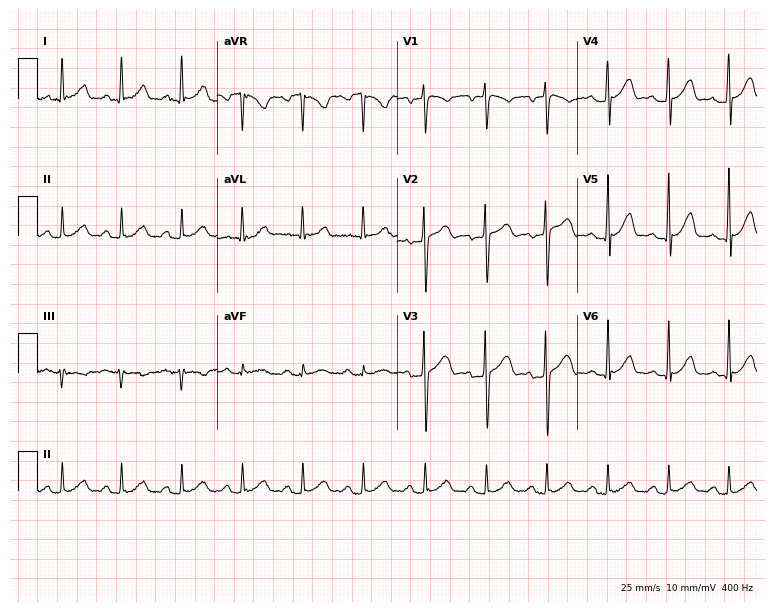
Resting 12-lead electrocardiogram. Patient: a 35-year-old female. None of these six findings is recorded: first-degree AV block, right bundle branch block (RBBB), left bundle branch block (LBBB), sinus bradycardia, atrial fibrillation (AF), sinus tachycardia.